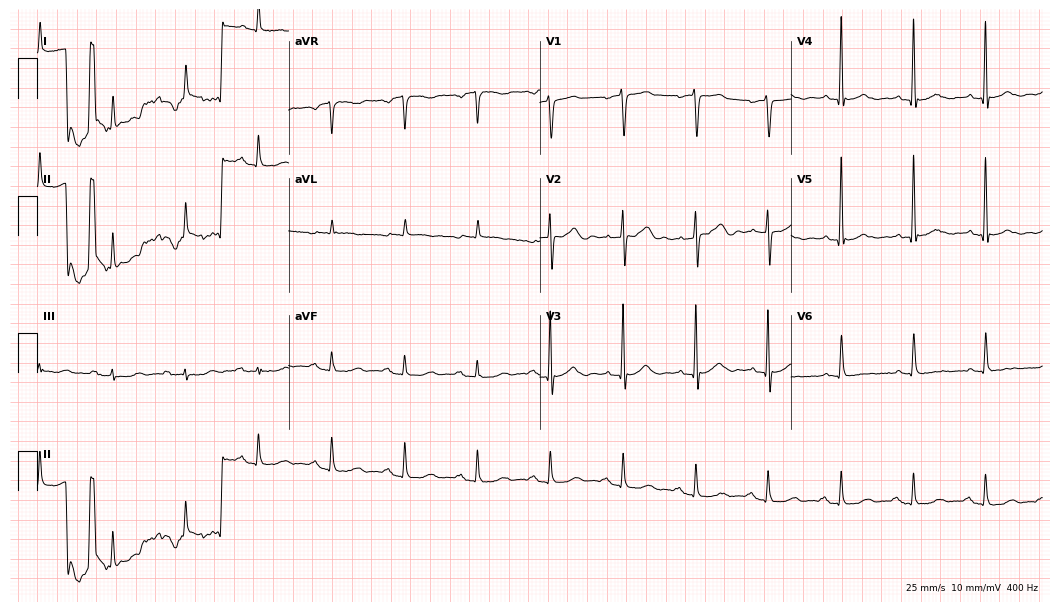
12-lead ECG (10.2-second recording at 400 Hz) from a 78-year-old male patient. Labelled as a normal ECG.